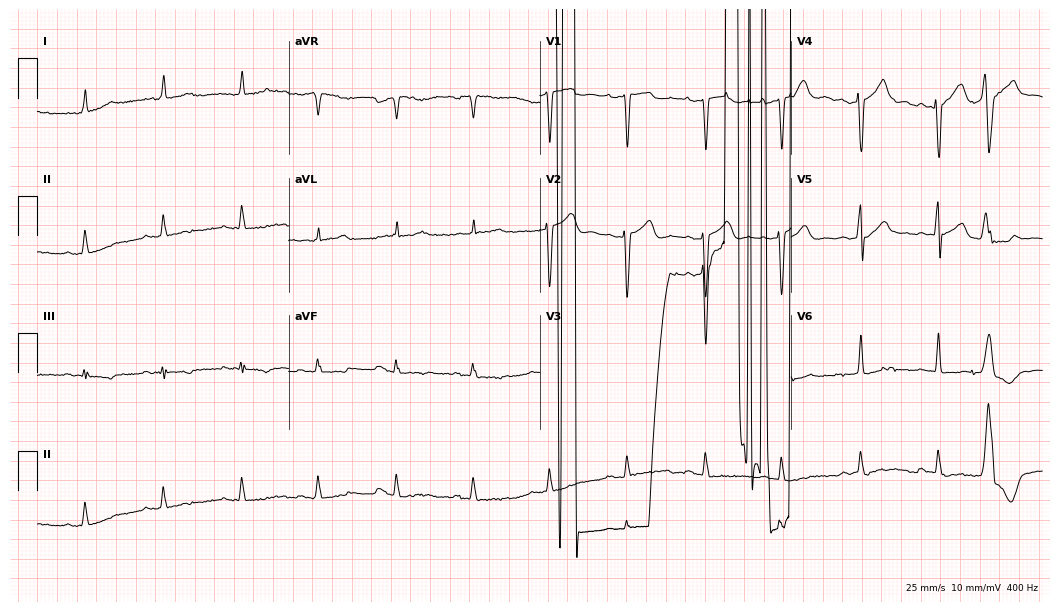
Electrocardiogram, a 78-year-old man. Of the six screened findings (first-degree AV block, right bundle branch block (RBBB), left bundle branch block (LBBB), sinus bradycardia, atrial fibrillation (AF), sinus tachycardia), none is recorded. Only these six findings were labelled.